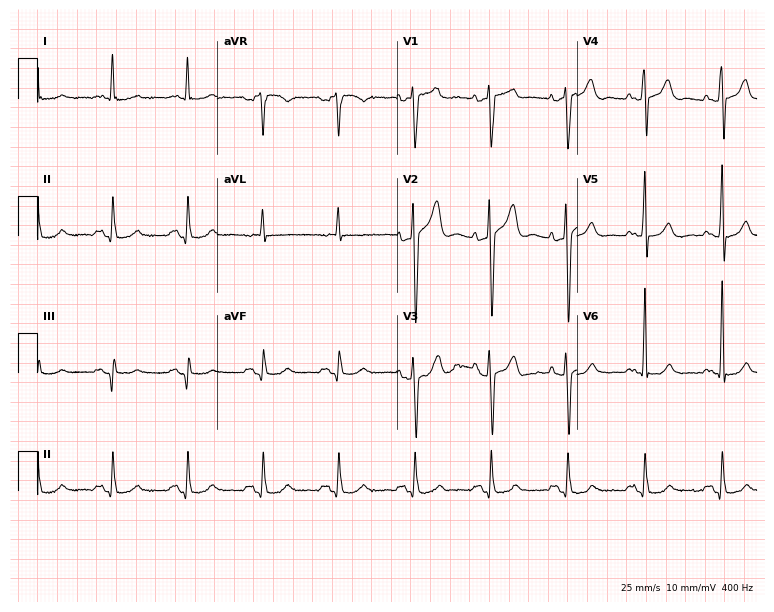
ECG — a 51-year-old male patient. Screened for six findings — first-degree AV block, right bundle branch block, left bundle branch block, sinus bradycardia, atrial fibrillation, sinus tachycardia — none is recorded.